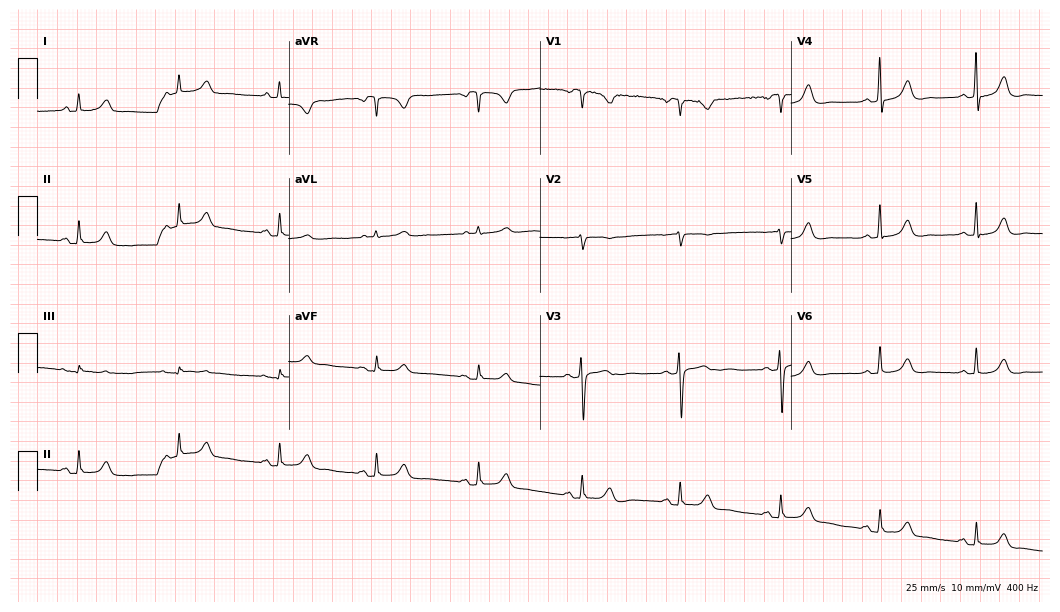
ECG (10.2-second recording at 400 Hz) — a female patient, 68 years old. Labelled as a normal ECG.